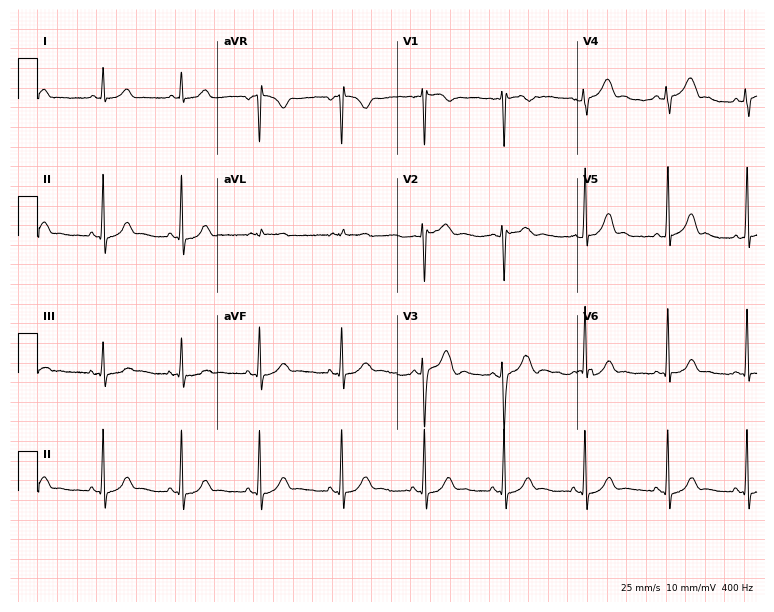
Standard 12-lead ECG recorded from a woman, 26 years old (7.3-second recording at 400 Hz). Read as a normal ECG.